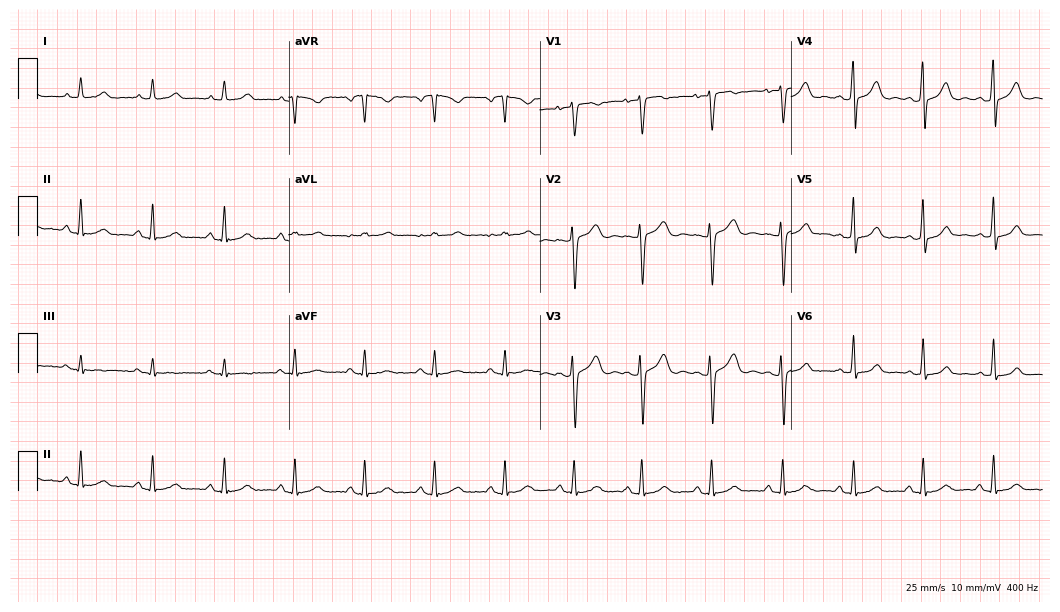
Electrocardiogram, a 25-year-old woman. Of the six screened findings (first-degree AV block, right bundle branch block (RBBB), left bundle branch block (LBBB), sinus bradycardia, atrial fibrillation (AF), sinus tachycardia), none is recorded. Other findings, if any, are not listed.